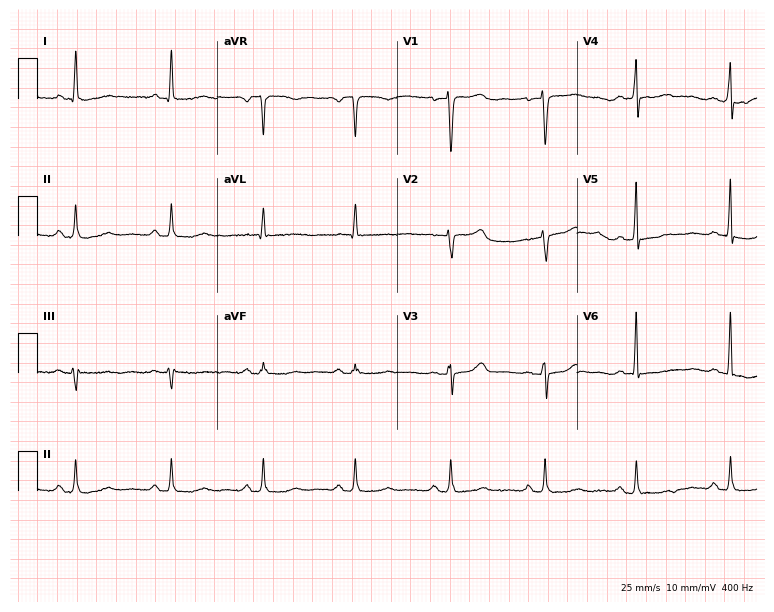
Standard 12-lead ECG recorded from a 56-year-old female patient (7.3-second recording at 400 Hz). None of these six findings is recorded: first-degree AV block, right bundle branch block, left bundle branch block, sinus bradycardia, atrial fibrillation, sinus tachycardia.